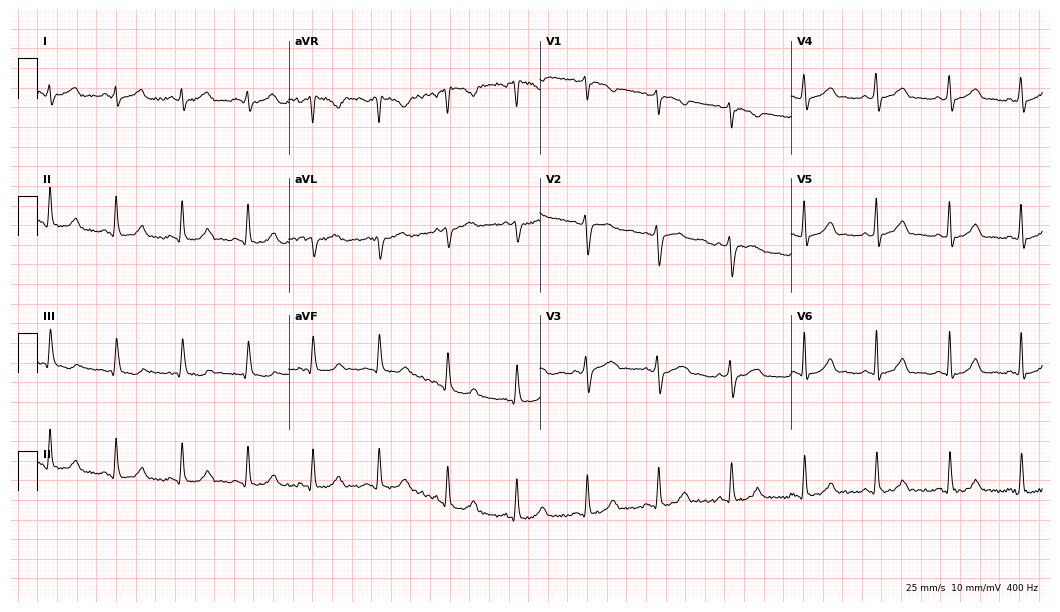
12-lead ECG from a 44-year-old female. Recorded interpretation: within normal limits.